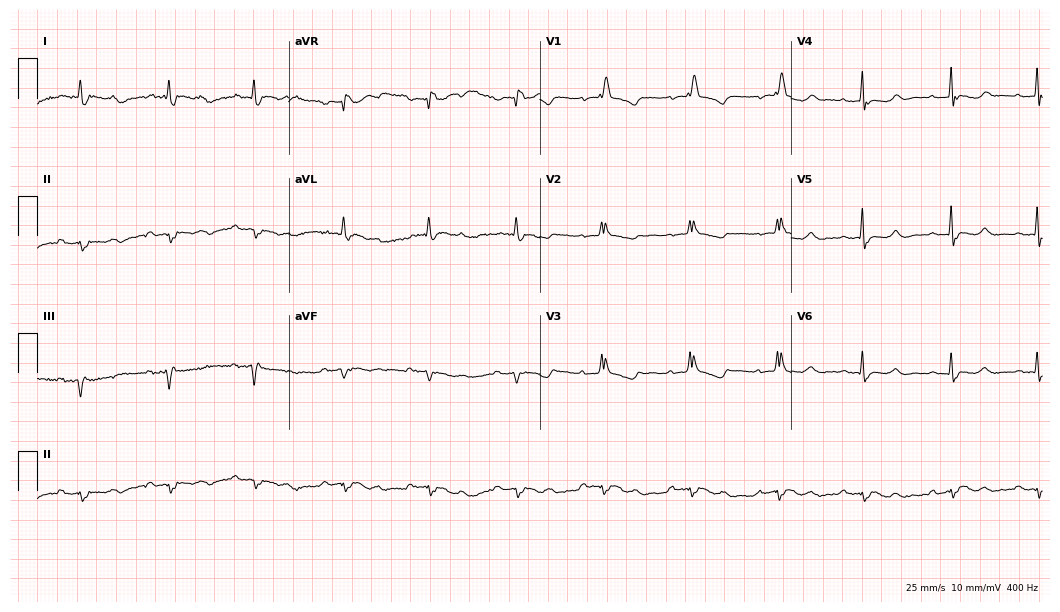
12-lead ECG from a female patient, 82 years old. No first-degree AV block, right bundle branch block (RBBB), left bundle branch block (LBBB), sinus bradycardia, atrial fibrillation (AF) or sinus tachycardia recorded for this tracing.